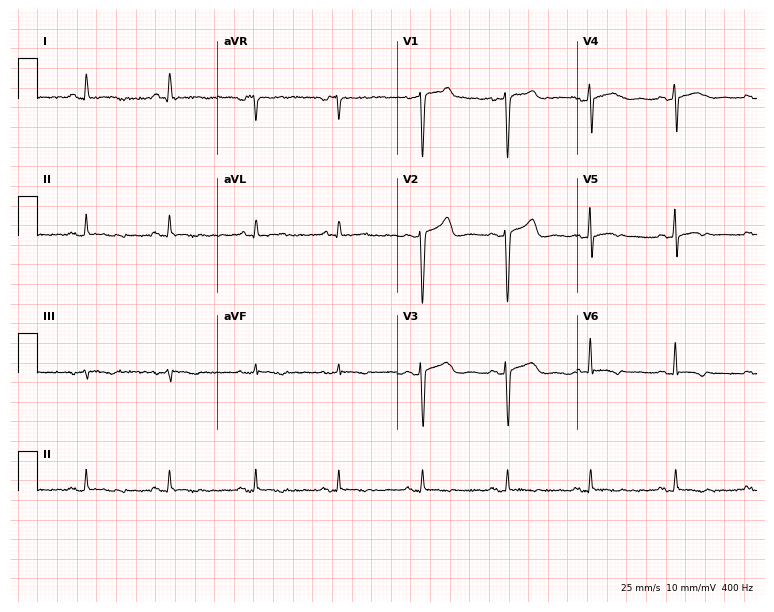
Electrocardiogram, a female patient, 45 years old. Of the six screened findings (first-degree AV block, right bundle branch block, left bundle branch block, sinus bradycardia, atrial fibrillation, sinus tachycardia), none is recorded. Other findings, if any, are not listed.